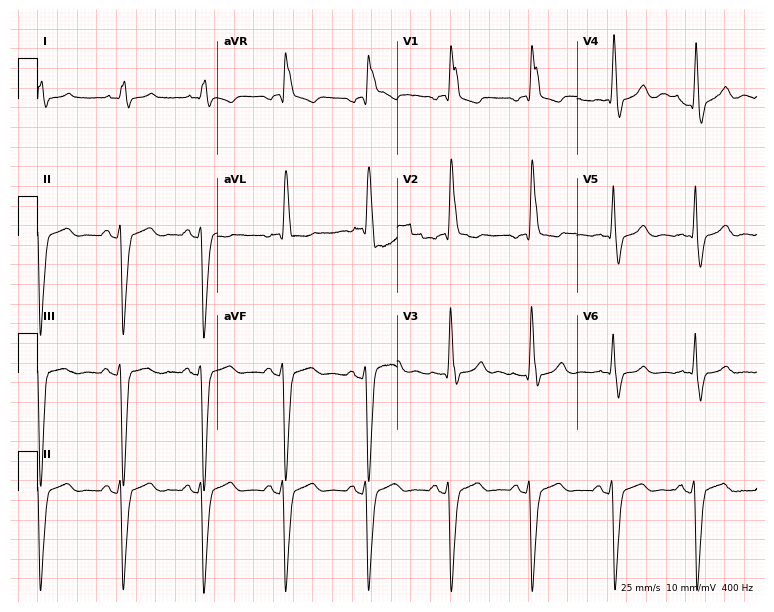
Standard 12-lead ECG recorded from a 75-year-old male (7.3-second recording at 400 Hz). The tracing shows right bundle branch block.